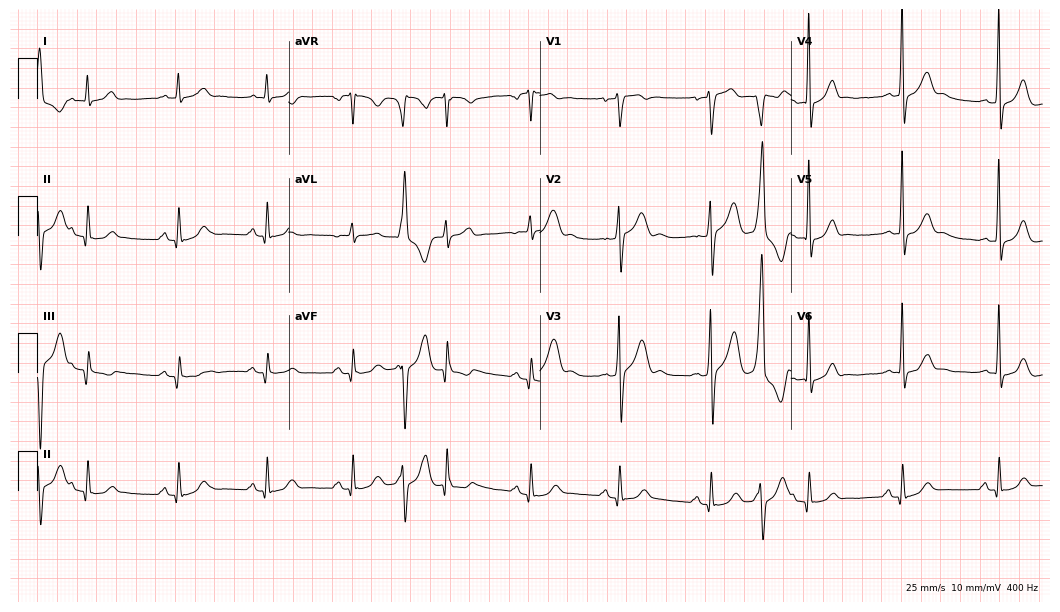
ECG (10.2-second recording at 400 Hz) — a 44-year-old man. Screened for six findings — first-degree AV block, right bundle branch block, left bundle branch block, sinus bradycardia, atrial fibrillation, sinus tachycardia — none is recorded.